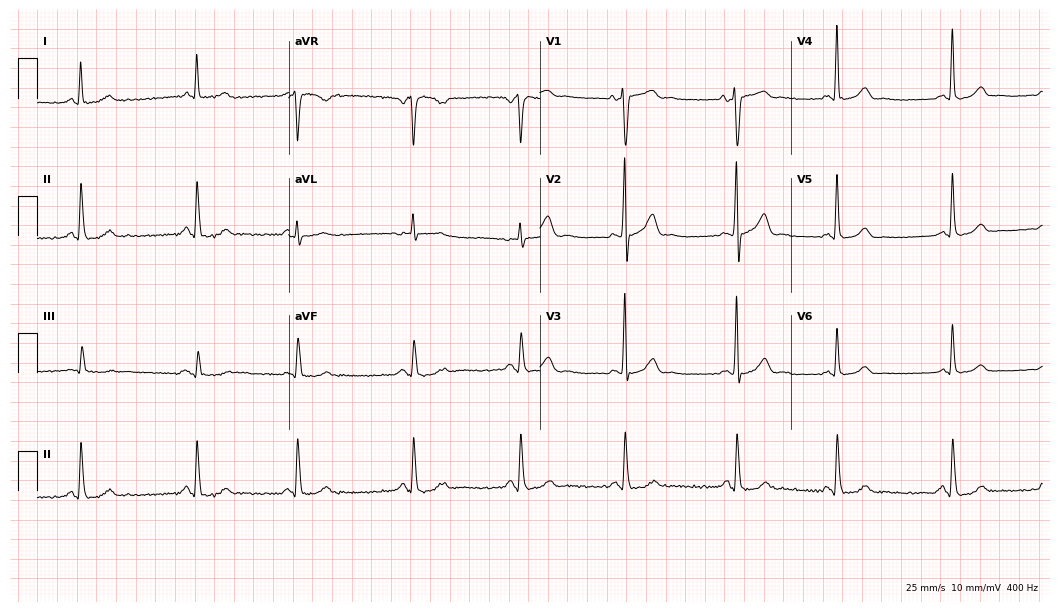
12-lead ECG from a male, 60 years old. Recorded interpretation: within normal limits.